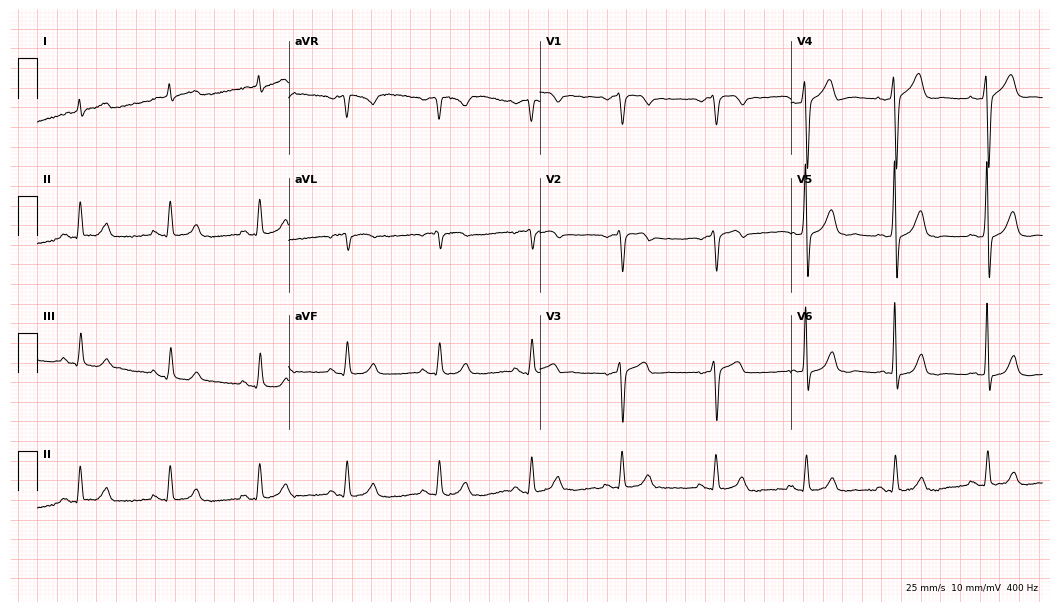
12-lead ECG from a male patient, 77 years old (10.2-second recording at 400 Hz). Recorded interpretation: within normal limits.